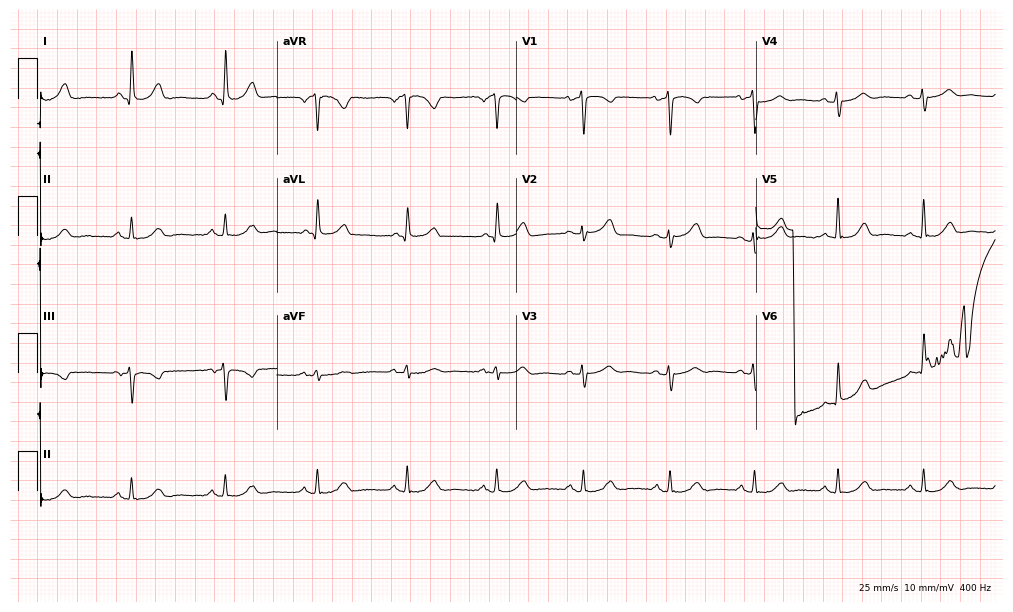
12-lead ECG (9.8-second recording at 400 Hz) from a woman, 65 years old. Screened for six findings — first-degree AV block, right bundle branch block (RBBB), left bundle branch block (LBBB), sinus bradycardia, atrial fibrillation (AF), sinus tachycardia — none is recorded.